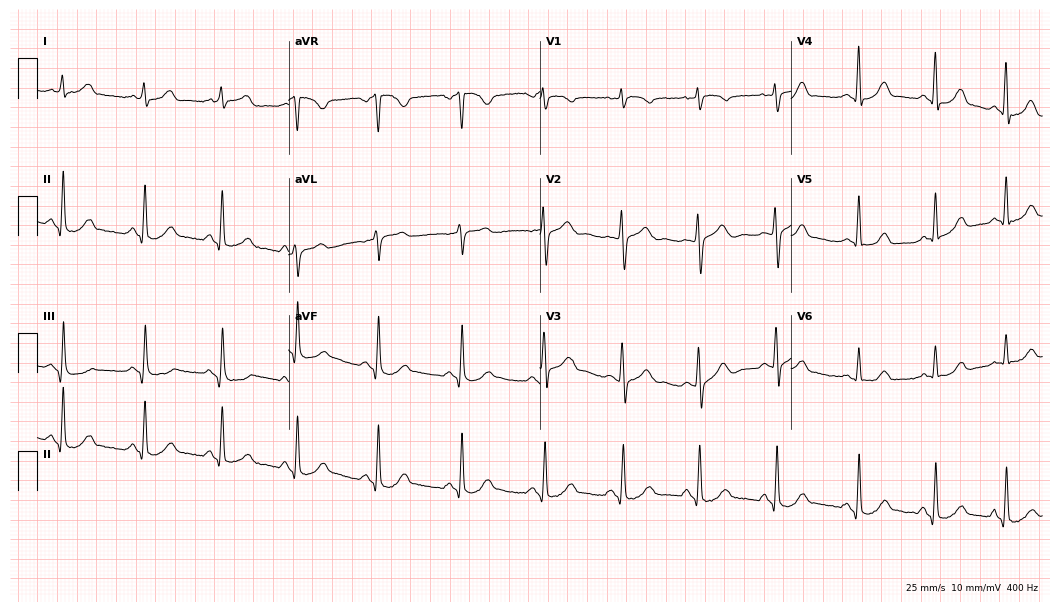
12-lead ECG from a female, 51 years old. Screened for six findings — first-degree AV block, right bundle branch block, left bundle branch block, sinus bradycardia, atrial fibrillation, sinus tachycardia — none is recorded. Findings outside these six are not listed.